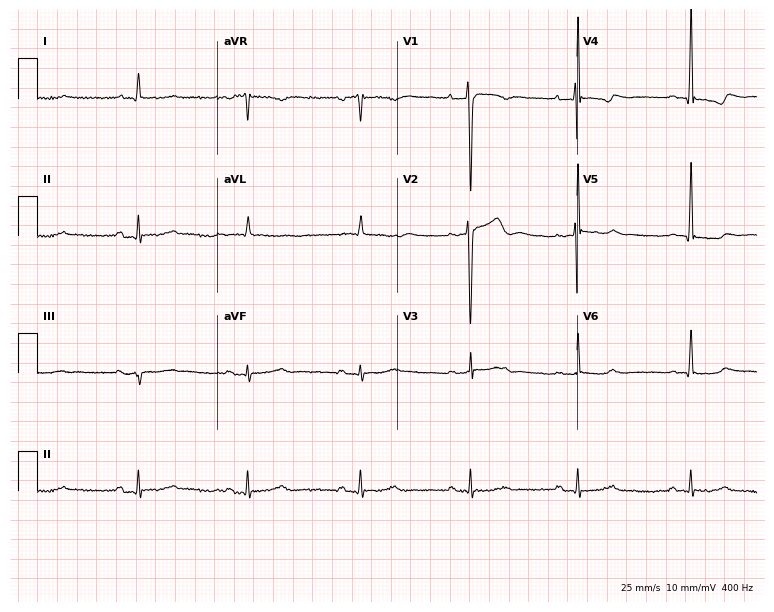
12-lead ECG from a male patient, 73 years old. Screened for six findings — first-degree AV block, right bundle branch block, left bundle branch block, sinus bradycardia, atrial fibrillation, sinus tachycardia — none is recorded. Only these six findings were labelled.